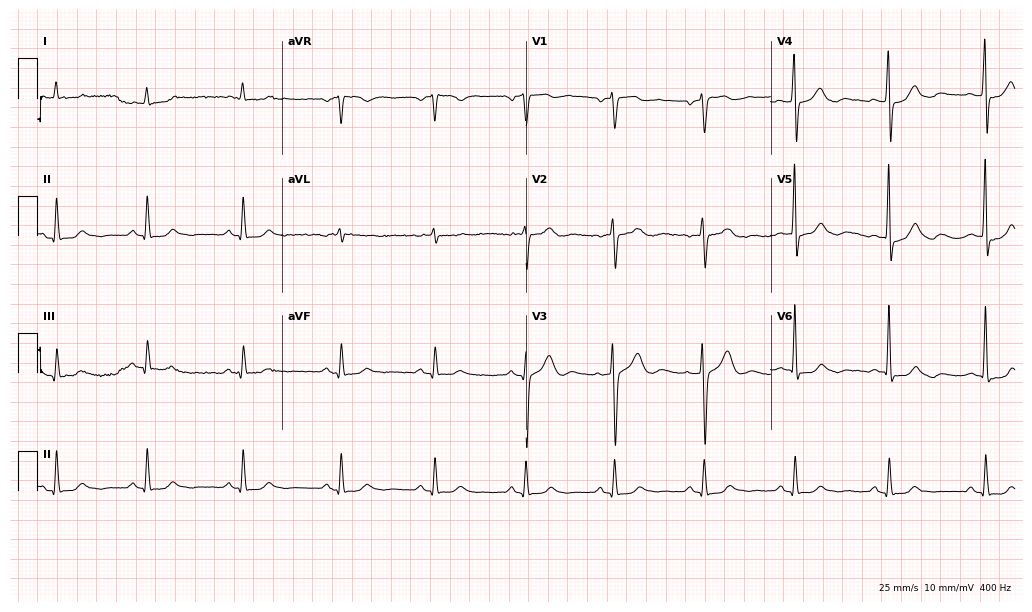
Resting 12-lead electrocardiogram (10-second recording at 400 Hz). Patient: a male, 69 years old. Read as a normal ECG.